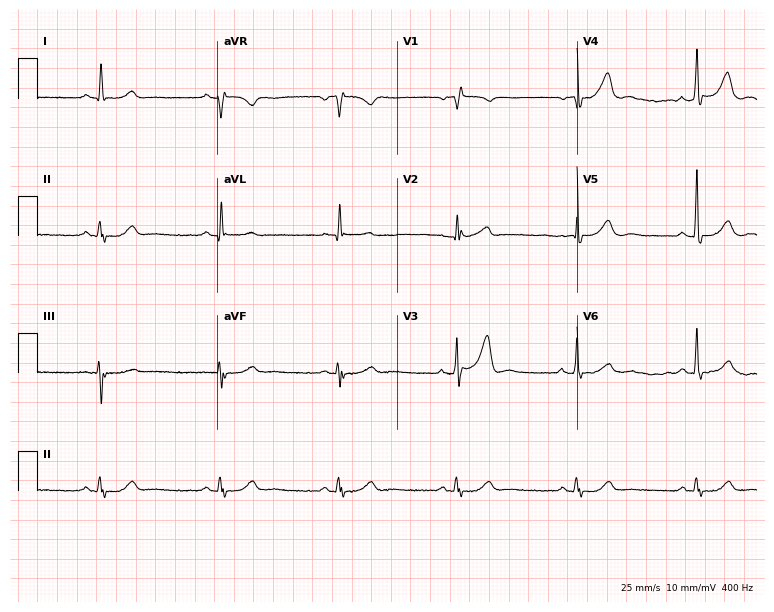
12-lead ECG from a 79-year-old male patient. No first-degree AV block, right bundle branch block (RBBB), left bundle branch block (LBBB), sinus bradycardia, atrial fibrillation (AF) or sinus tachycardia recorded for this tracing. Other findings, if any, are not listed.